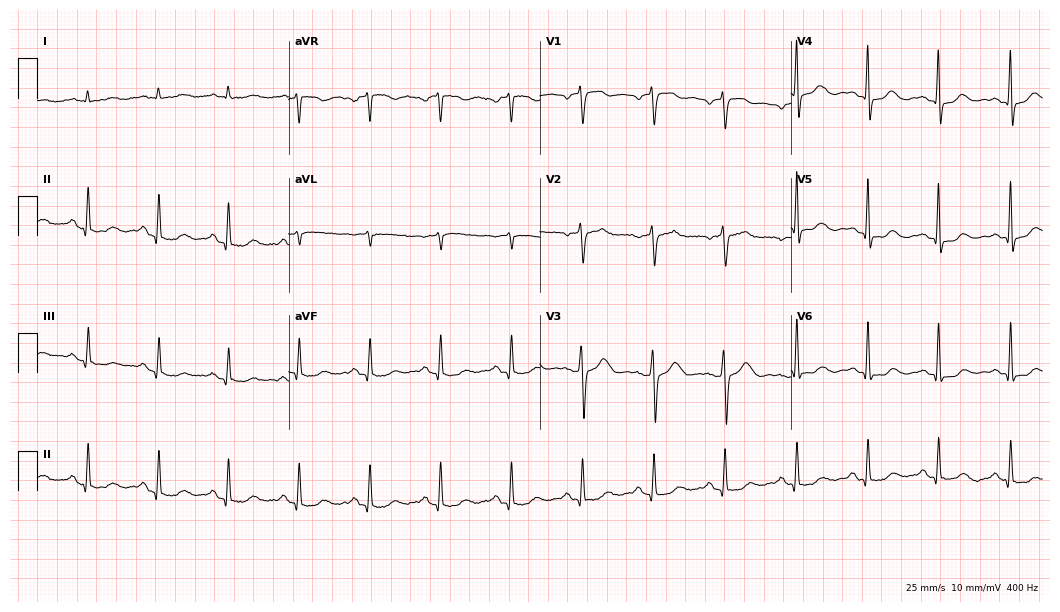
Electrocardiogram (10.2-second recording at 400 Hz), a man, 66 years old. Overall reading on record: normal ECG.